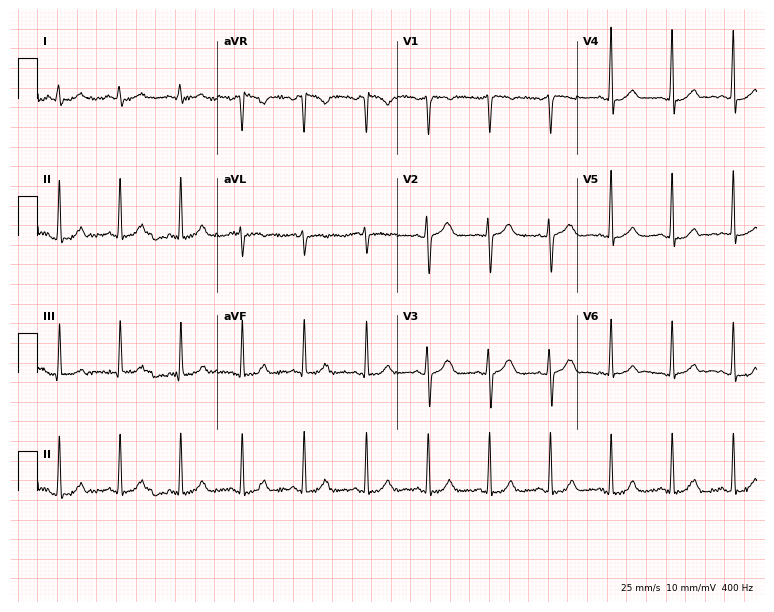
Standard 12-lead ECG recorded from a female, 43 years old. Read as a normal ECG.